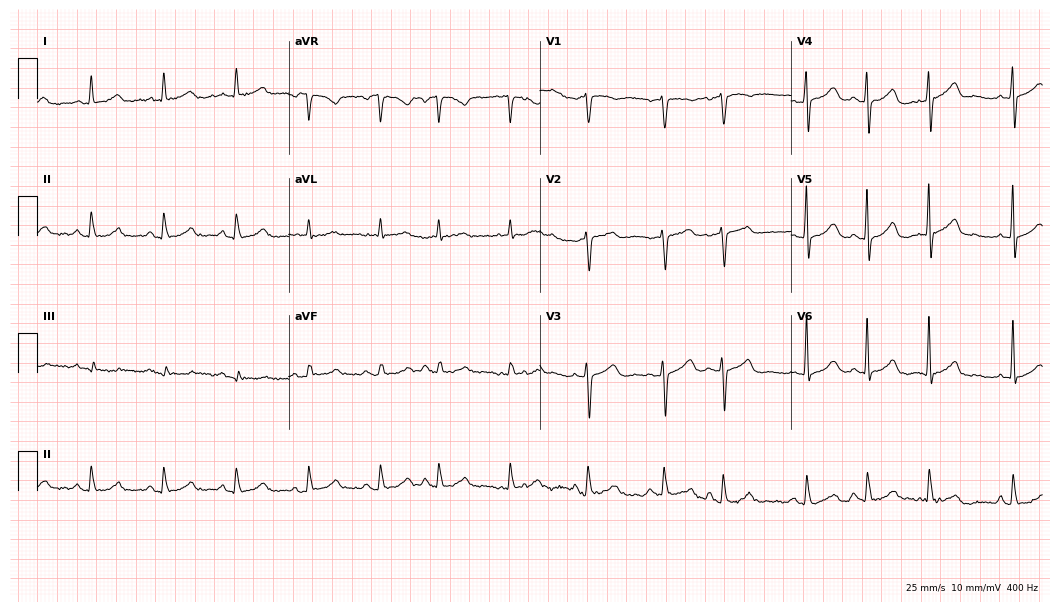
12-lead ECG (10.2-second recording at 400 Hz) from a 76-year-old female. Screened for six findings — first-degree AV block, right bundle branch block (RBBB), left bundle branch block (LBBB), sinus bradycardia, atrial fibrillation (AF), sinus tachycardia — none is recorded.